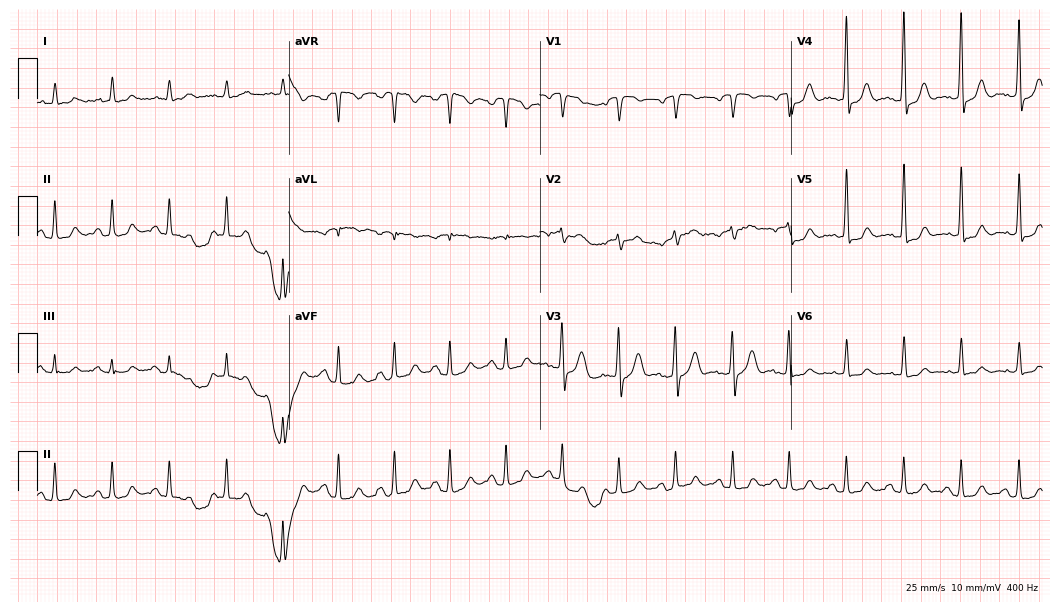
12-lead ECG from a man, 72 years old. No first-degree AV block, right bundle branch block (RBBB), left bundle branch block (LBBB), sinus bradycardia, atrial fibrillation (AF) or sinus tachycardia recorded for this tracing. Other findings, if any, are not listed.